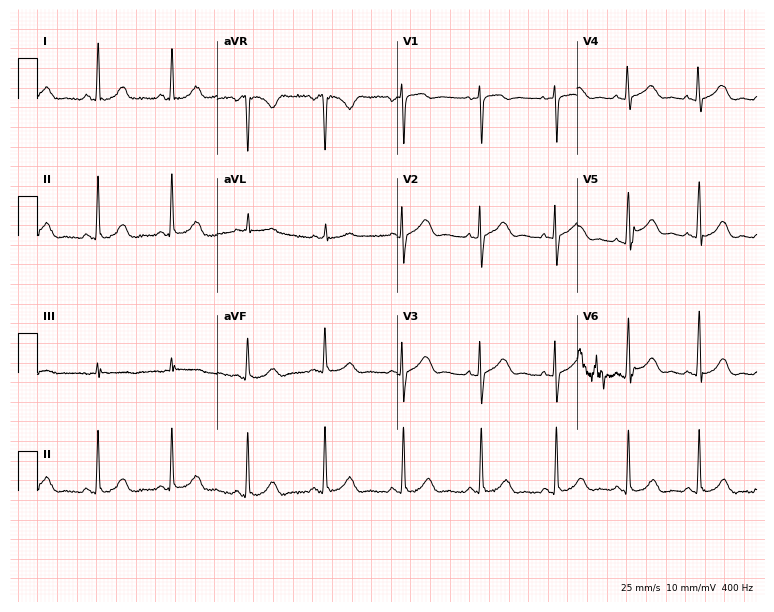
Standard 12-lead ECG recorded from a female, 37 years old (7.3-second recording at 400 Hz). Read as a normal ECG.